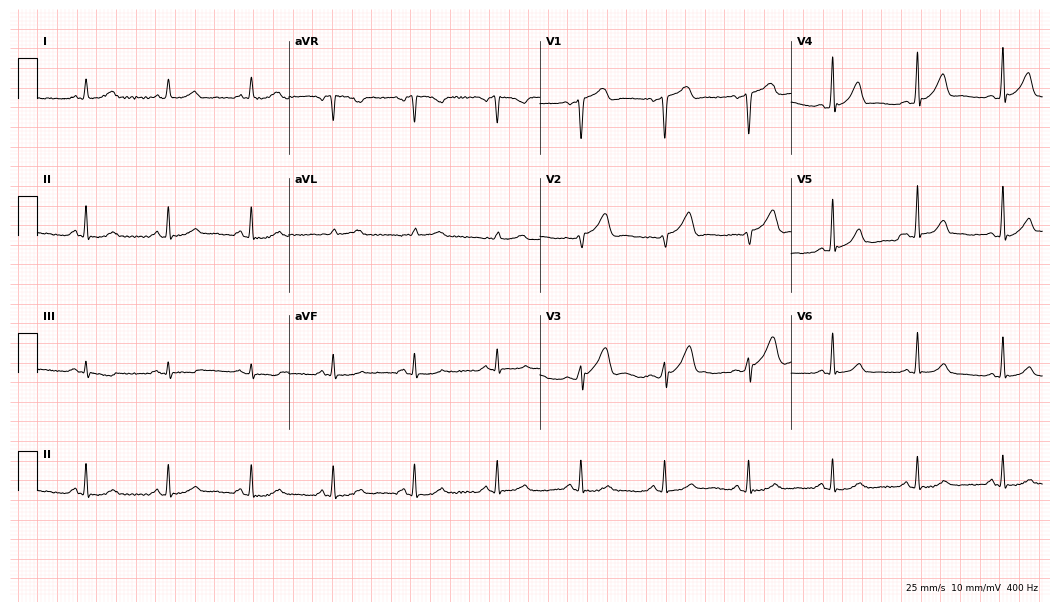
ECG (10.2-second recording at 400 Hz) — a 58-year-old male. Labelled as a normal ECG.